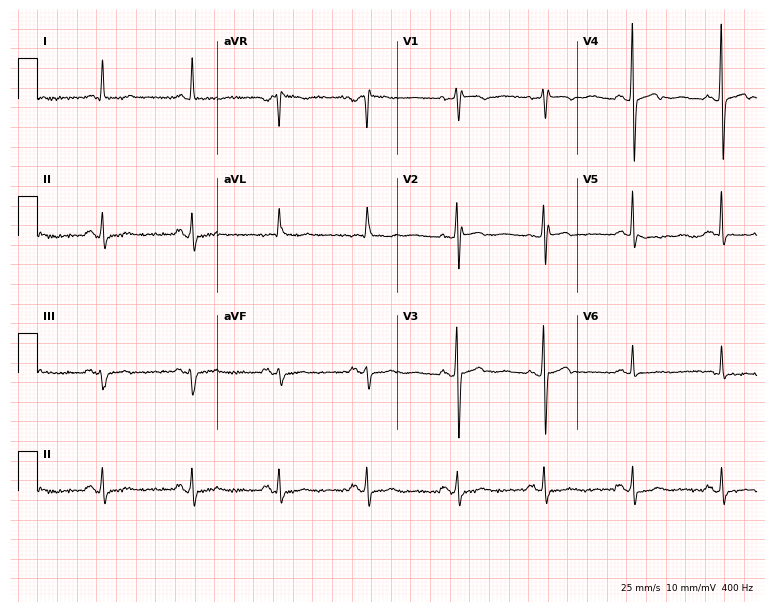
Resting 12-lead electrocardiogram (7.3-second recording at 400 Hz). Patient: a 62-year-old female. None of these six findings is recorded: first-degree AV block, right bundle branch block, left bundle branch block, sinus bradycardia, atrial fibrillation, sinus tachycardia. Only these six findings were labelled.